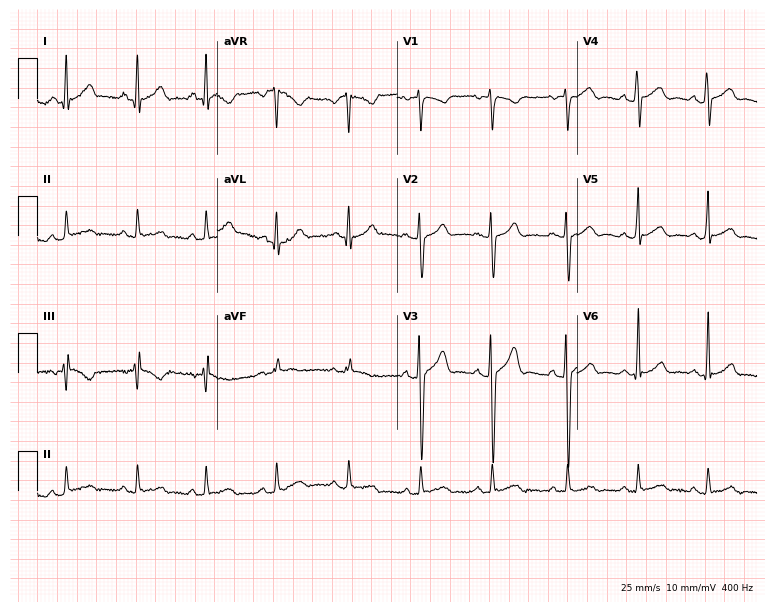
ECG — a male, 27 years old. Labelled as a normal ECG.